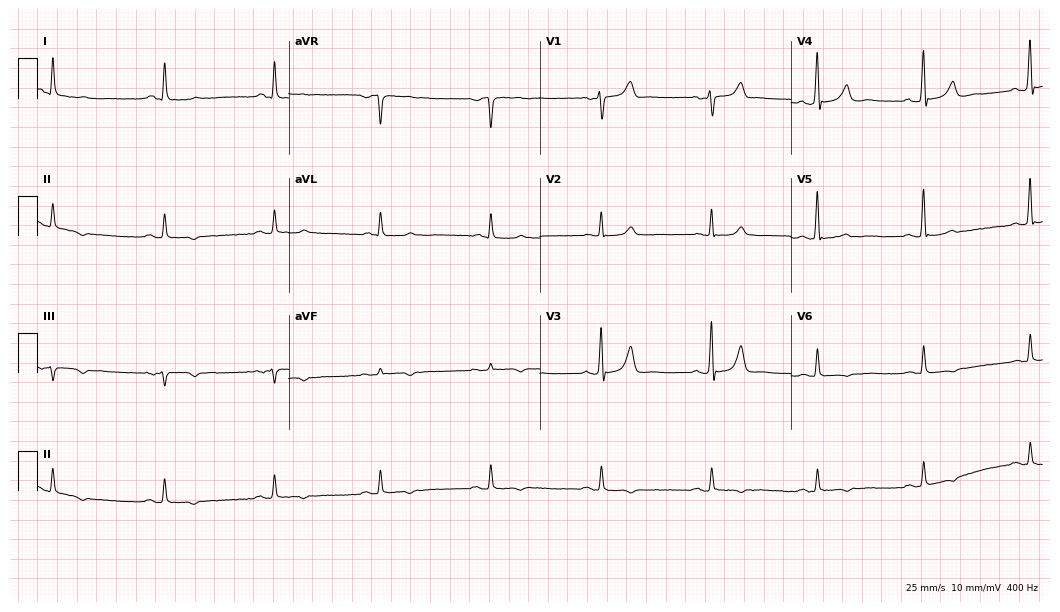
12-lead ECG from a 61-year-old male (10.2-second recording at 400 Hz). No first-degree AV block, right bundle branch block (RBBB), left bundle branch block (LBBB), sinus bradycardia, atrial fibrillation (AF) or sinus tachycardia recorded for this tracing.